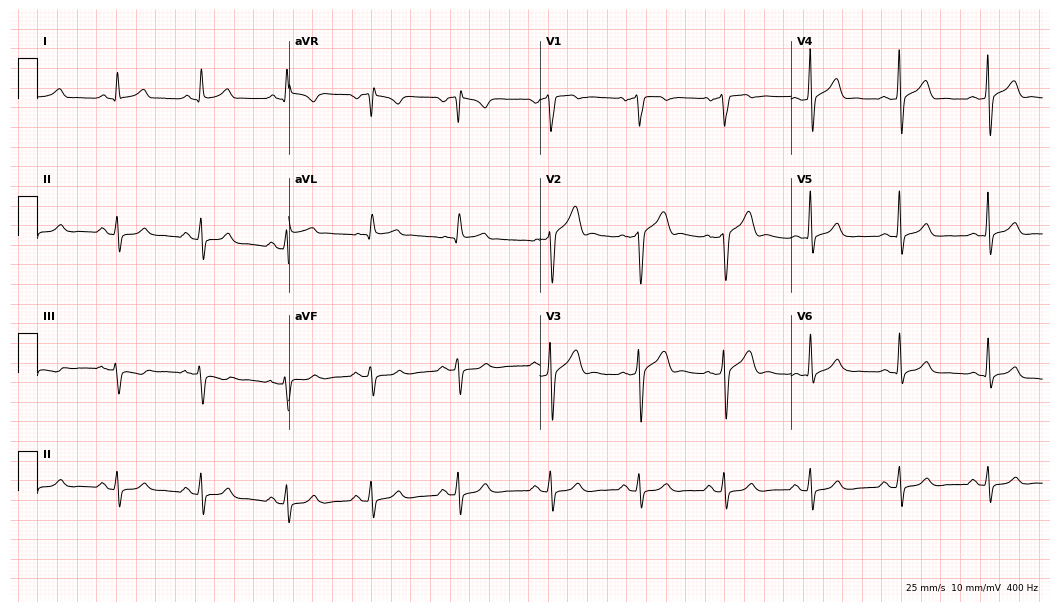
12-lead ECG from a man, 49 years old. Recorded interpretation: within normal limits.